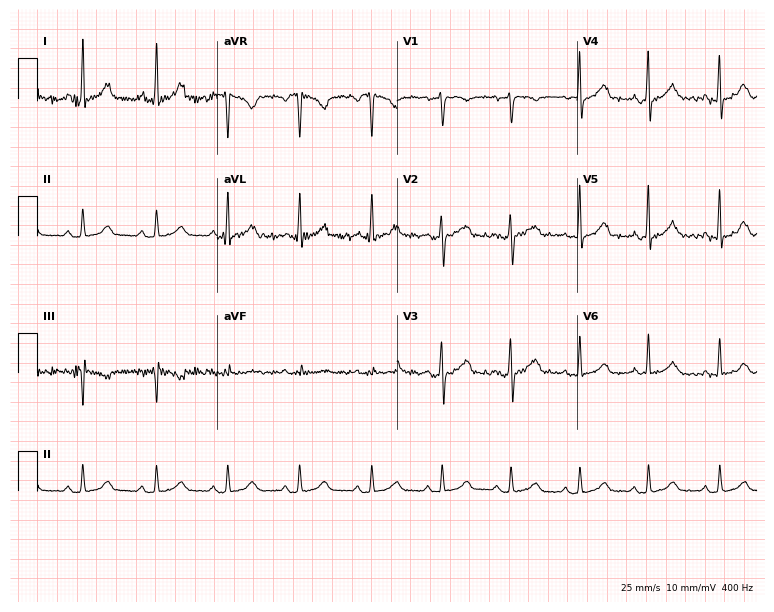
Electrocardiogram, an 18-year-old woman. Overall reading on record: normal ECG.